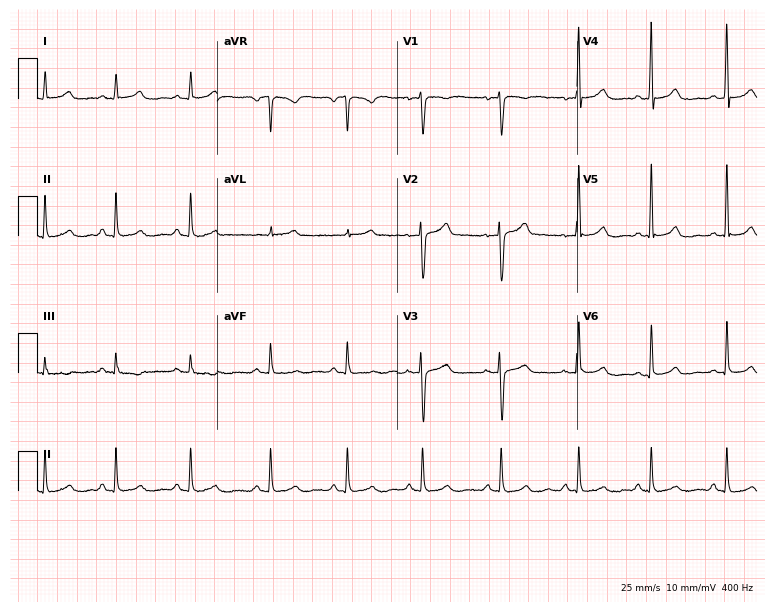
ECG — a 36-year-old female. Labelled as a normal ECG.